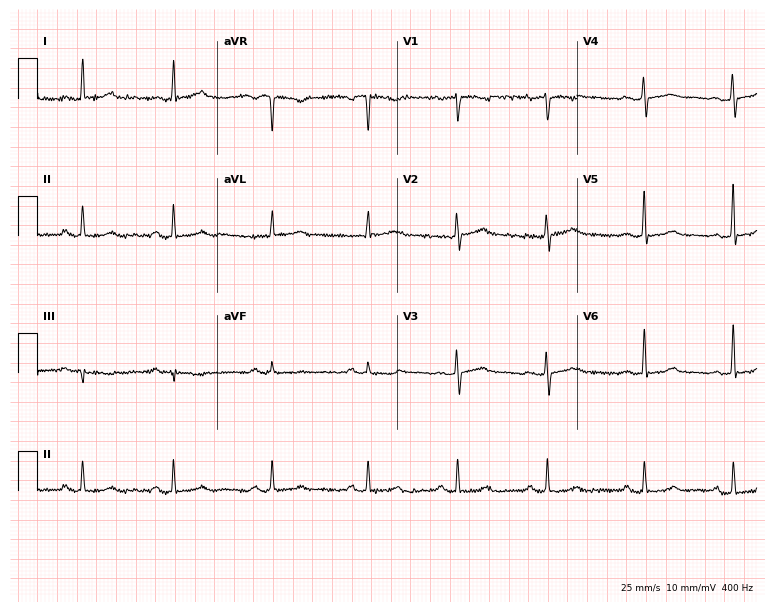
ECG — a 38-year-old female. Screened for six findings — first-degree AV block, right bundle branch block, left bundle branch block, sinus bradycardia, atrial fibrillation, sinus tachycardia — none is recorded. Only these six findings were labelled.